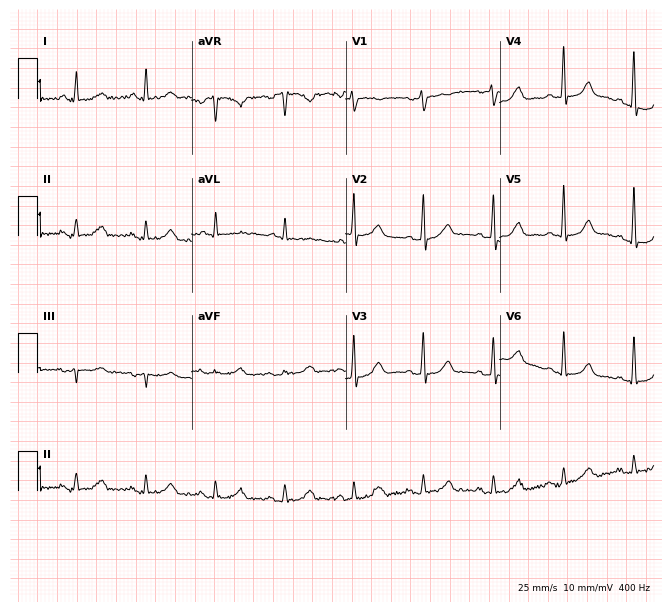
Resting 12-lead electrocardiogram. Patient: a 45-year-old female. Read as a normal ECG.